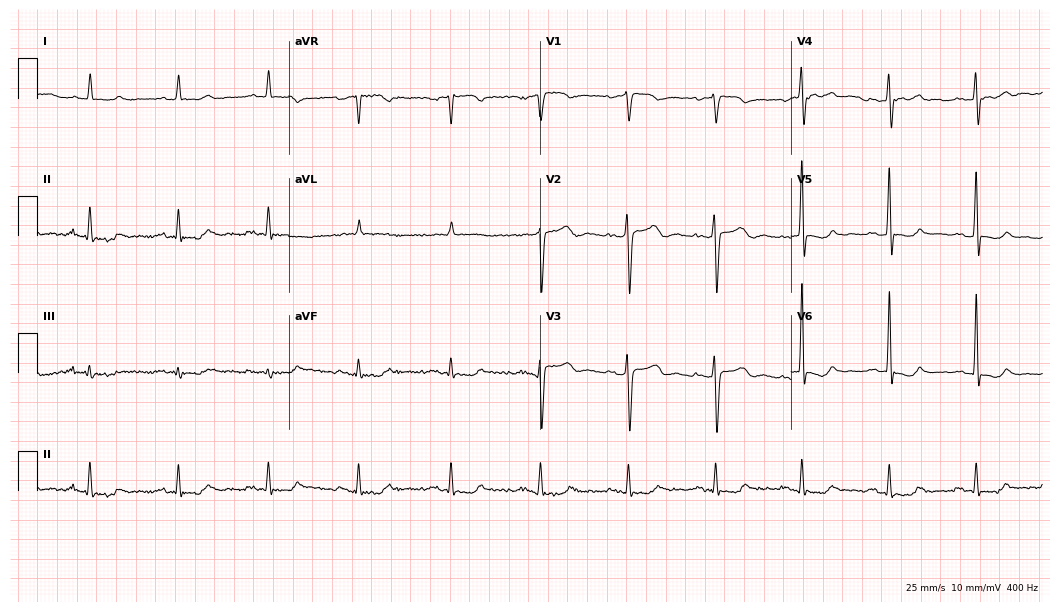
ECG (10.2-second recording at 400 Hz) — a 66-year-old man. Labelled as a normal ECG.